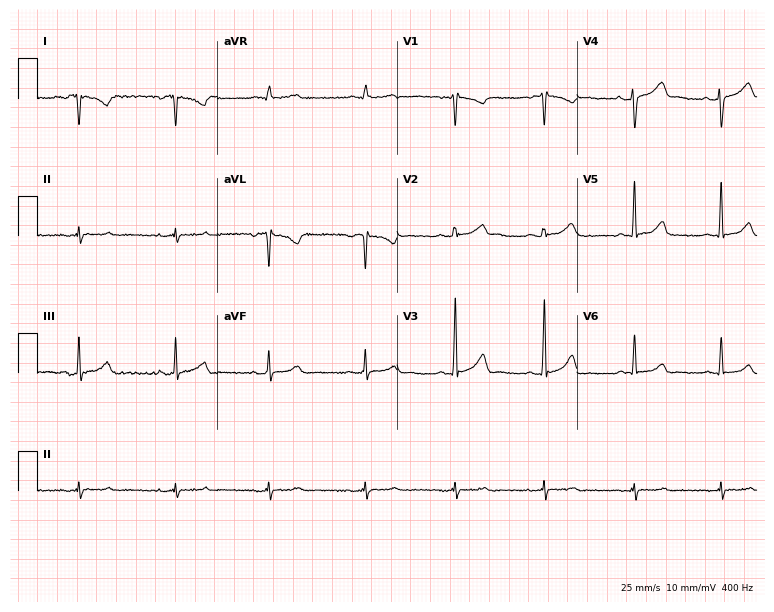
Resting 12-lead electrocardiogram (7.3-second recording at 400 Hz). Patient: a 32-year-old female. None of these six findings is recorded: first-degree AV block, right bundle branch block, left bundle branch block, sinus bradycardia, atrial fibrillation, sinus tachycardia.